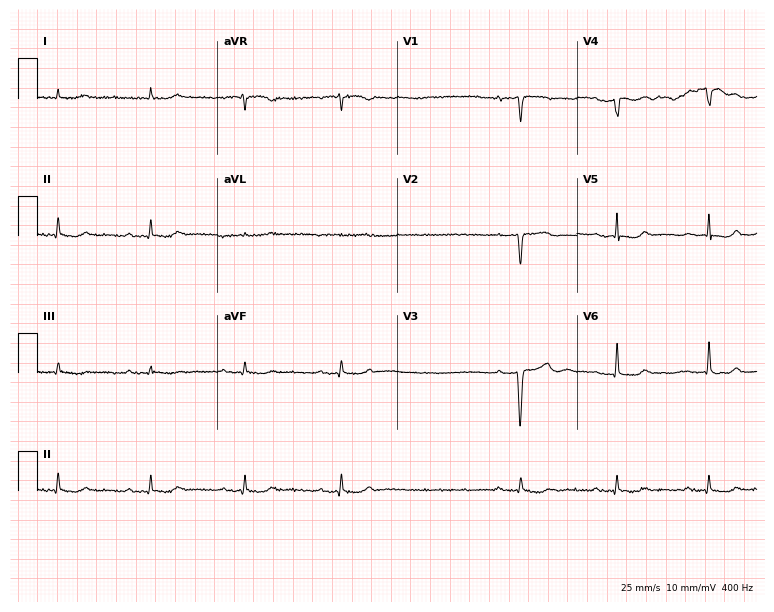
12-lead ECG from a 73-year-old female. No first-degree AV block, right bundle branch block, left bundle branch block, sinus bradycardia, atrial fibrillation or sinus tachycardia recorded for this tracing. Only these six findings were labelled.